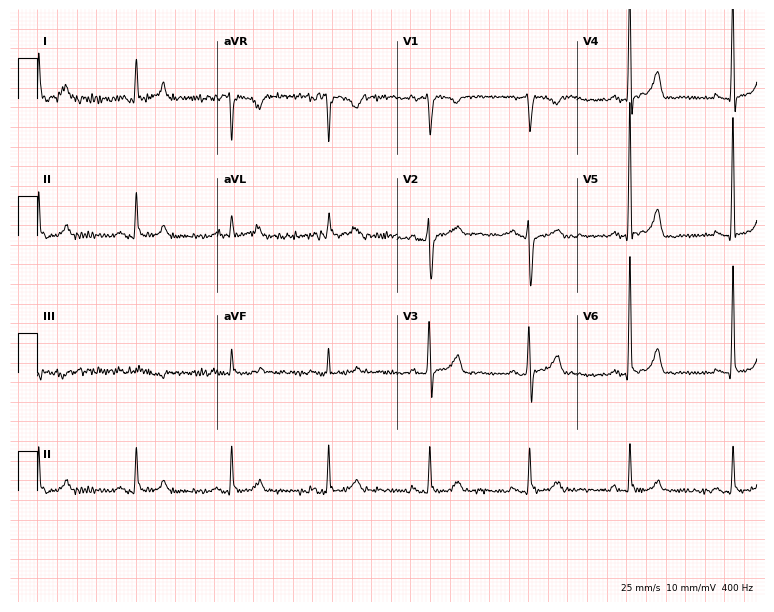
Electrocardiogram (7.3-second recording at 400 Hz), a male patient, 67 years old. Of the six screened findings (first-degree AV block, right bundle branch block (RBBB), left bundle branch block (LBBB), sinus bradycardia, atrial fibrillation (AF), sinus tachycardia), none is recorded.